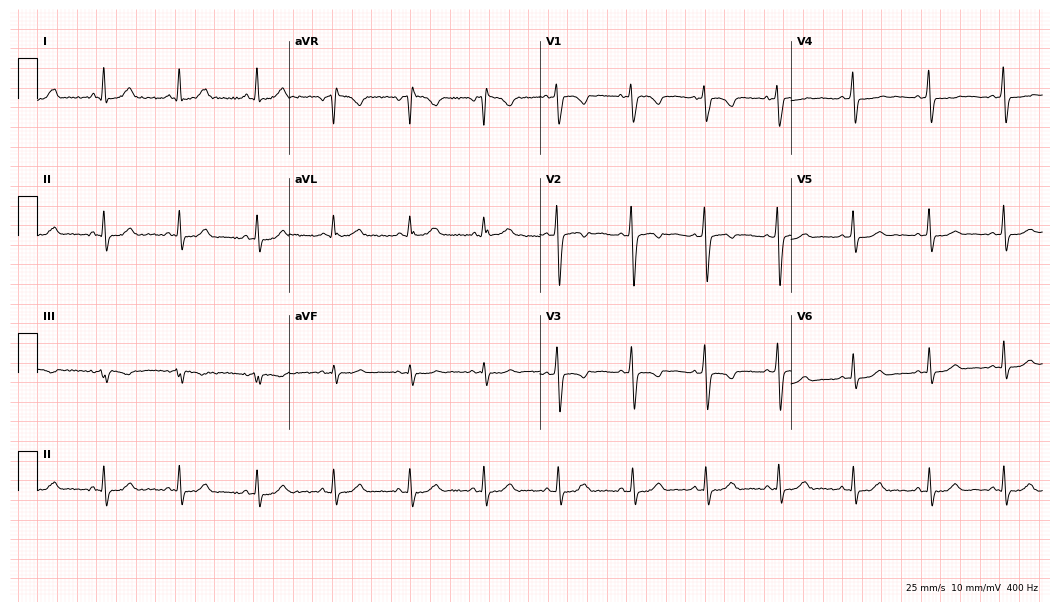
Electrocardiogram, a woman, 27 years old. Of the six screened findings (first-degree AV block, right bundle branch block (RBBB), left bundle branch block (LBBB), sinus bradycardia, atrial fibrillation (AF), sinus tachycardia), none is recorded. Findings outside these six are not listed.